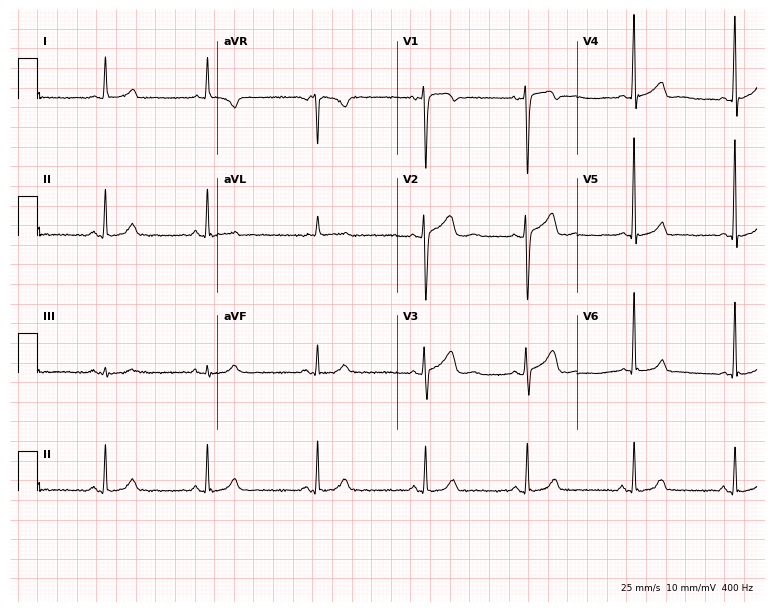
Electrocardiogram (7.3-second recording at 400 Hz), a female, 35 years old. Of the six screened findings (first-degree AV block, right bundle branch block, left bundle branch block, sinus bradycardia, atrial fibrillation, sinus tachycardia), none is recorded.